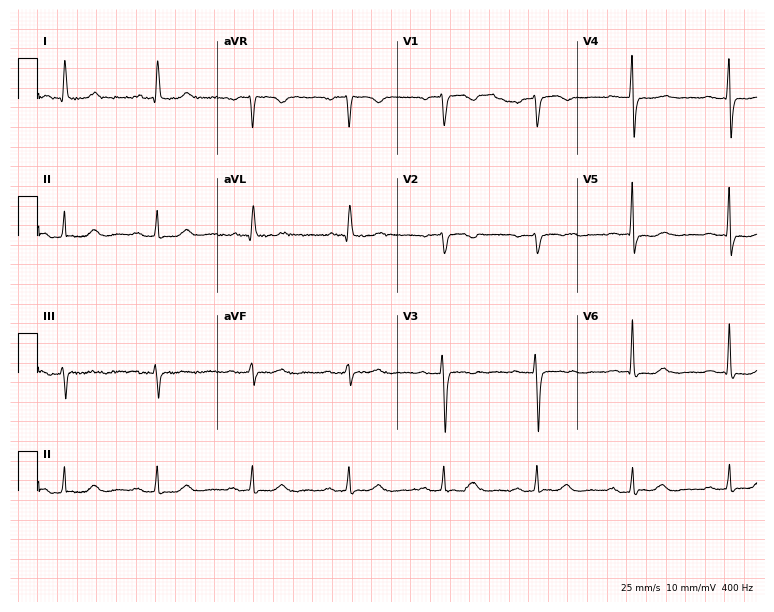
Electrocardiogram (7.3-second recording at 400 Hz), a woman, 65 years old. Of the six screened findings (first-degree AV block, right bundle branch block (RBBB), left bundle branch block (LBBB), sinus bradycardia, atrial fibrillation (AF), sinus tachycardia), none is recorded.